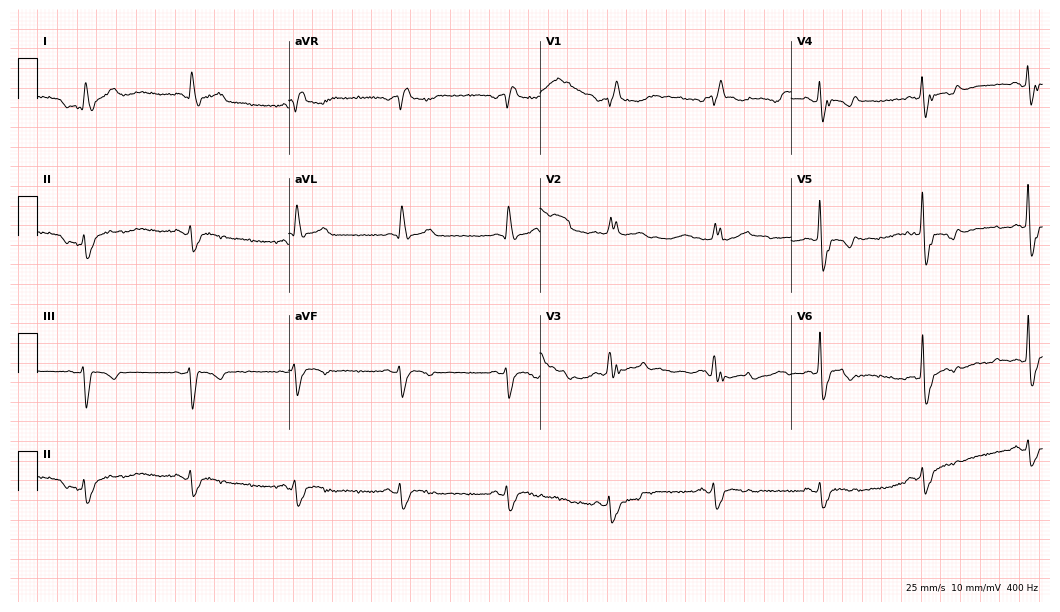
Electrocardiogram (10.2-second recording at 400 Hz), an 80-year-old man. Interpretation includes right bundle branch block (RBBB).